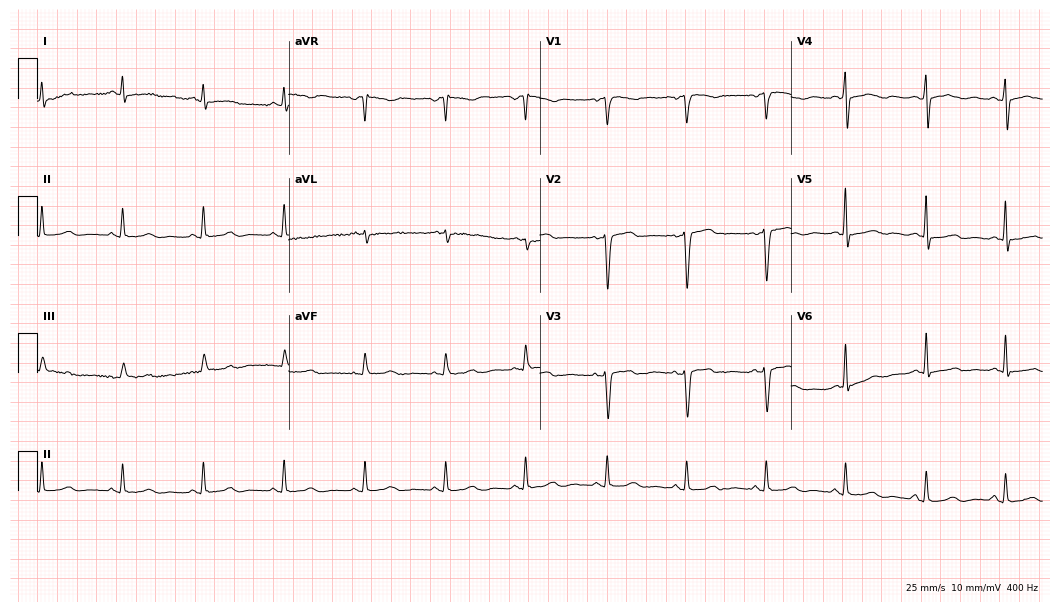
Standard 12-lead ECG recorded from a 63-year-old female patient (10.2-second recording at 400 Hz). None of these six findings is recorded: first-degree AV block, right bundle branch block (RBBB), left bundle branch block (LBBB), sinus bradycardia, atrial fibrillation (AF), sinus tachycardia. Findings outside these six are not listed.